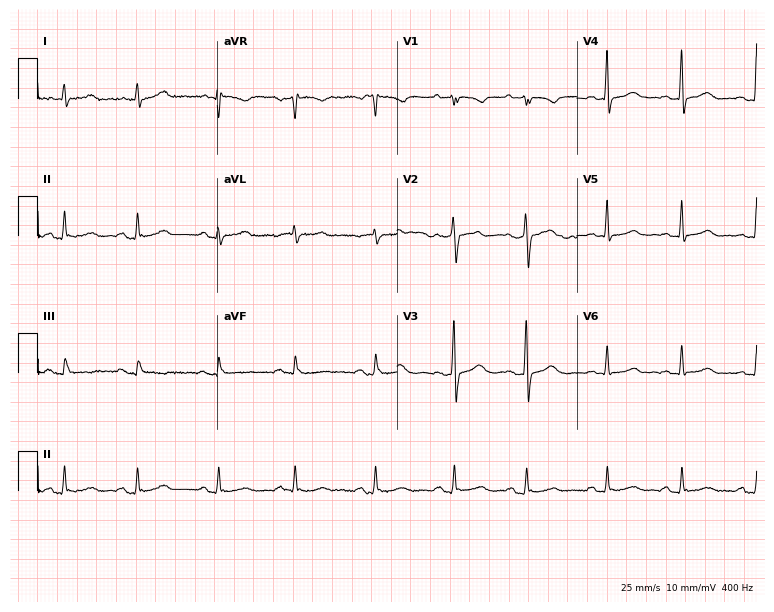
12-lead ECG from a 71-year-old female. Recorded interpretation: within normal limits.